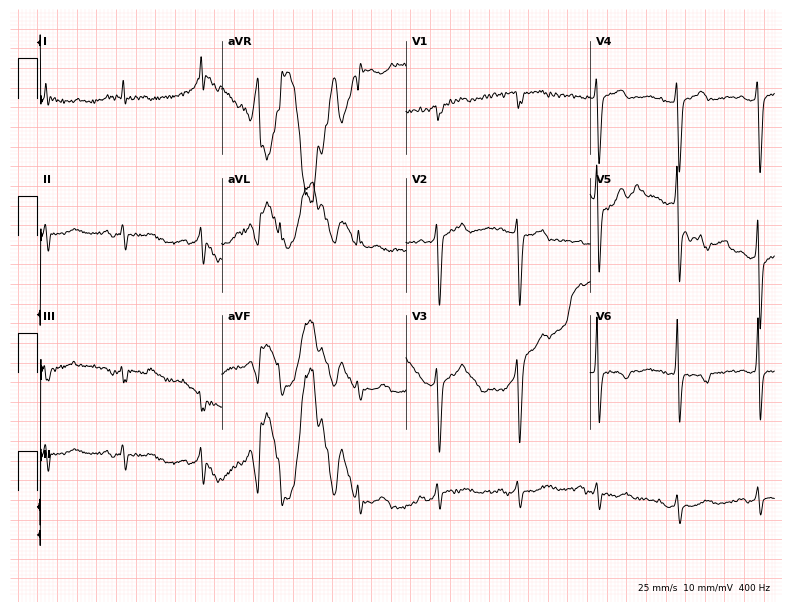
Standard 12-lead ECG recorded from a female, 67 years old (7.5-second recording at 400 Hz). None of these six findings is recorded: first-degree AV block, right bundle branch block, left bundle branch block, sinus bradycardia, atrial fibrillation, sinus tachycardia.